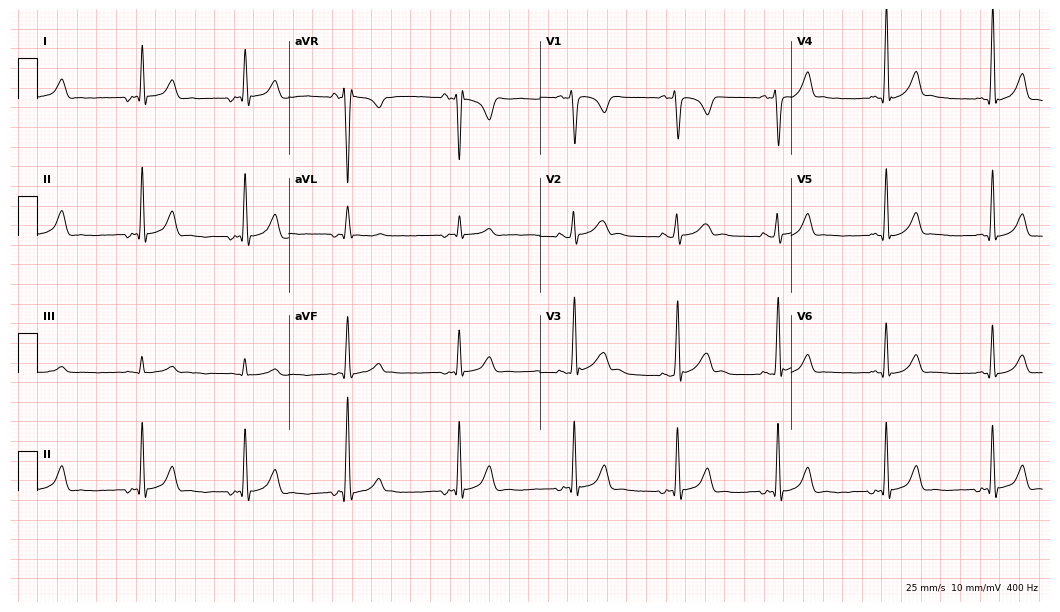
Resting 12-lead electrocardiogram (10.2-second recording at 400 Hz). Patient: a 19-year-old male. None of these six findings is recorded: first-degree AV block, right bundle branch block, left bundle branch block, sinus bradycardia, atrial fibrillation, sinus tachycardia. Other findings, if any, are not listed.